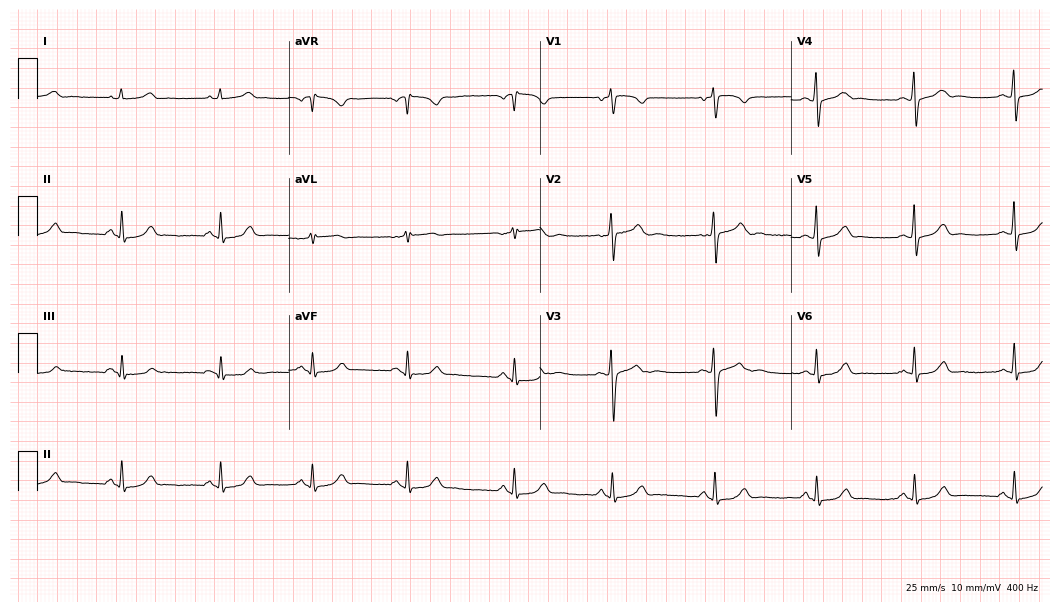
Standard 12-lead ECG recorded from a woman, 24 years old. Read as a normal ECG.